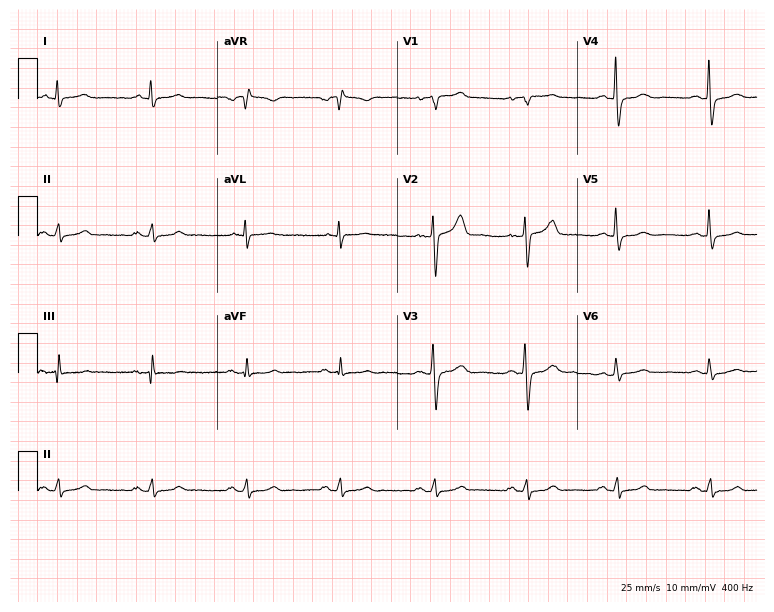
Resting 12-lead electrocardiogram (7.3-second recording at 400 Hz). Patient: a male, 51 years old. None of these six findings is recorded: first-degree AV block, right bundle branch block, left bundle branch block, sinus bradycardia, atrial fibrillation, sinus tachycardia. Other findings, if any, are not listed.